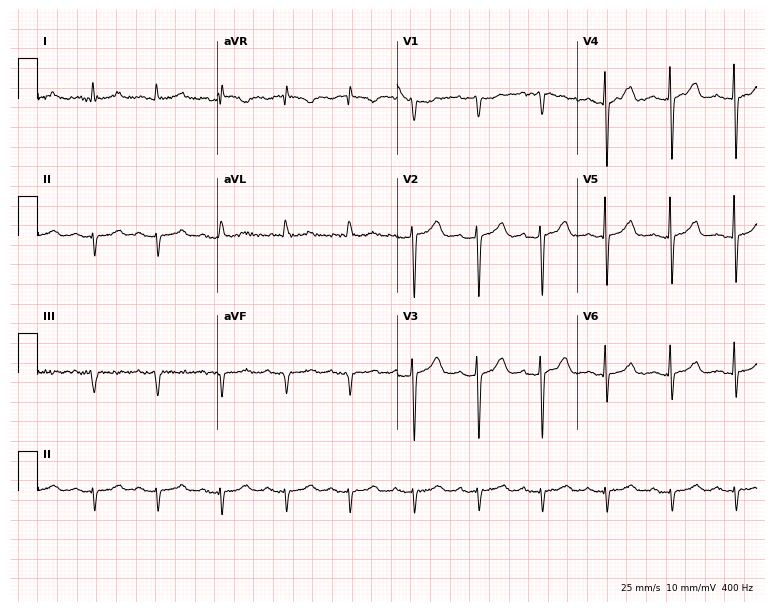
ECG (7.3-second recording at 400 Hz) — a male, 85 years old. Screened for six findings — first-degree AV block, right bundle branch block, left bundle branch block, sinus bradycardia, atrial fibrillation, sinus tachycardia — none is recorded. Only these six findings were labelled.